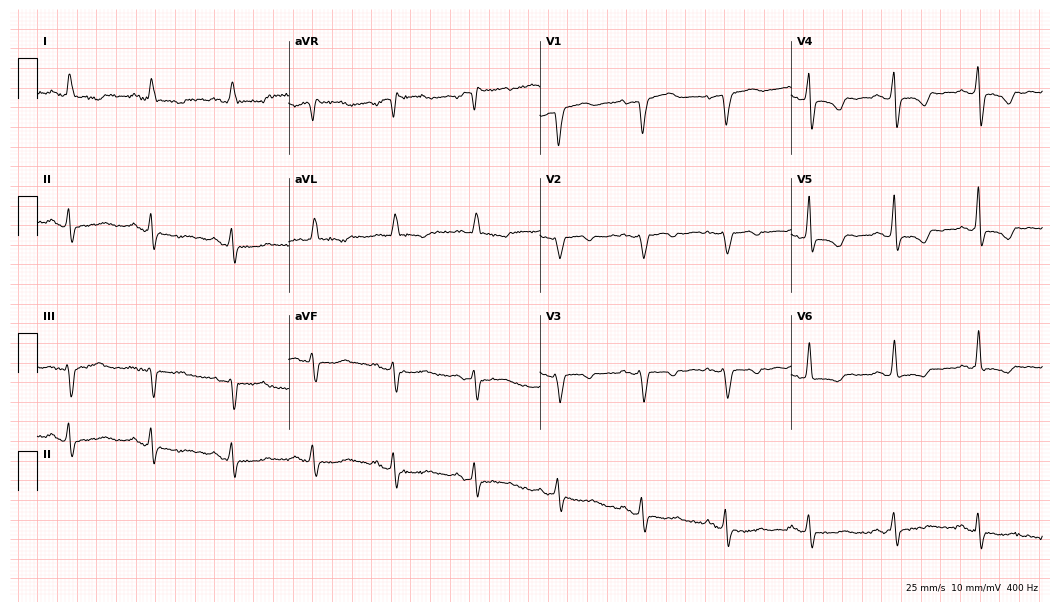
Standard 12-lead ECG recorded from a 72-year-old female patient (10.2-second recording at 400 Hz). None of these six findings is recorded: first-degree AV block, right bundle branch block, left bundle branch block, sinus bradycardia, atrial fibrillation, sinus tachycardia. Other findings, if any, are not listed.